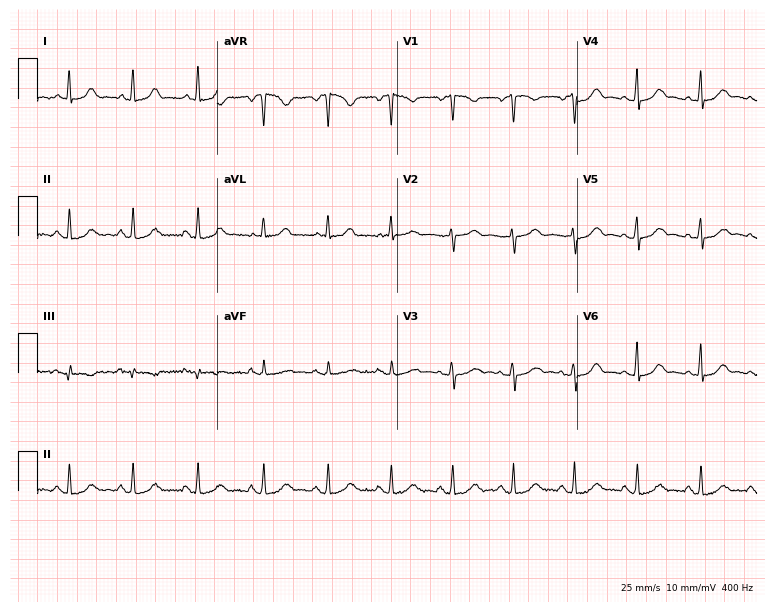
ECG (7.3-second recording at 400 Hz) — a female patient, 46 years old. Screened for six findings — first-degree AV block, right bundle branch block, left bundle branch block, sinus bradycardia, atrial fibrillation, sinus tachycardia — none is recorded. Other findings, if any, are not listed.